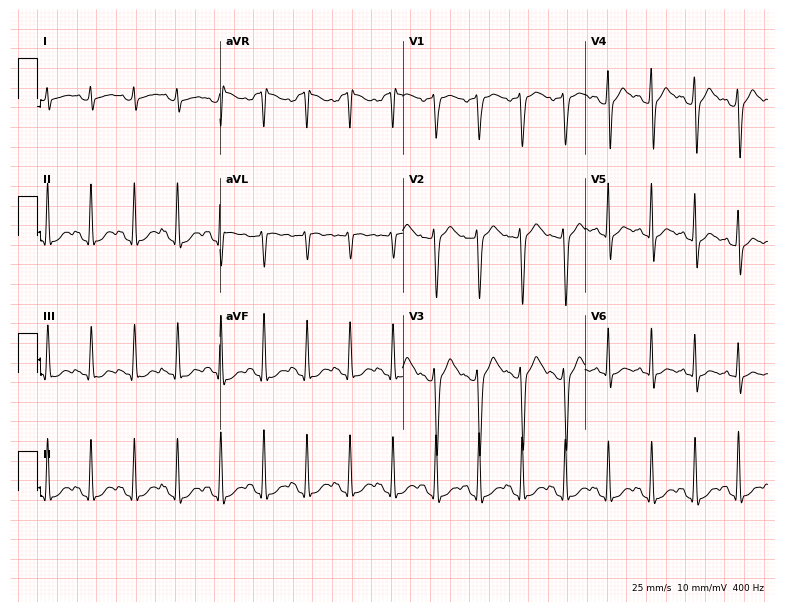
Electrocardiogram (7.4-second recording at 400 Hz), a 30-year-old man. Interpretation includes sinus tachycardia (a sinus rate of 100 beats per minute or more).